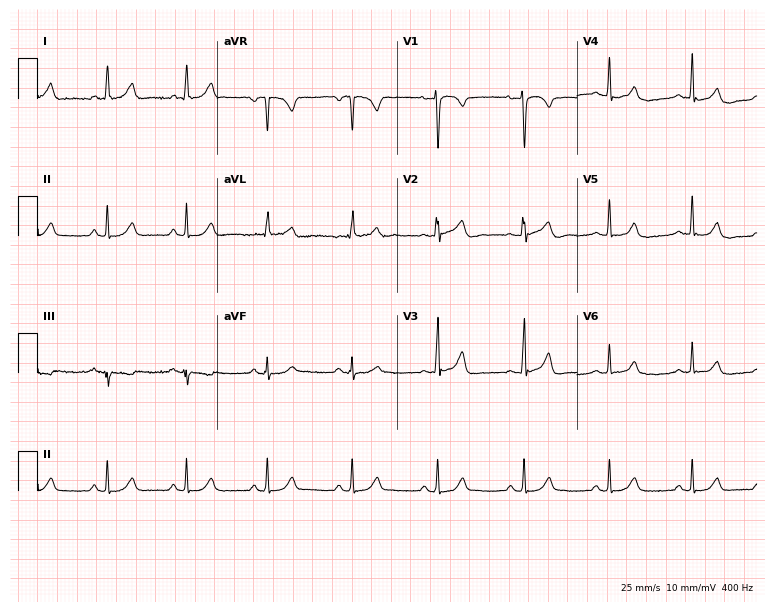
12-lead ECG from a female patient, 34 years old. Labelled as a normal ECG.